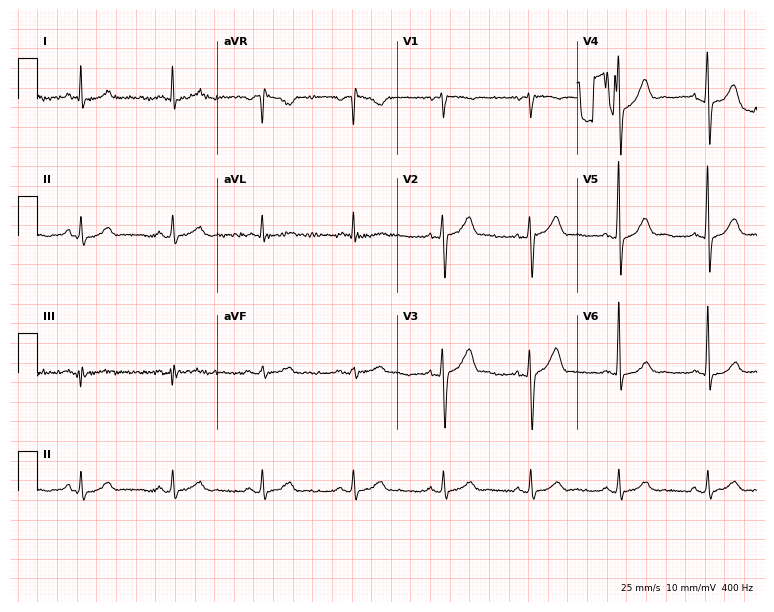
Resting 12-lead electrocardiogram (7.3-second recording at 400 Hz). Patient: a man, 42 years old. Read as a normal ECG.